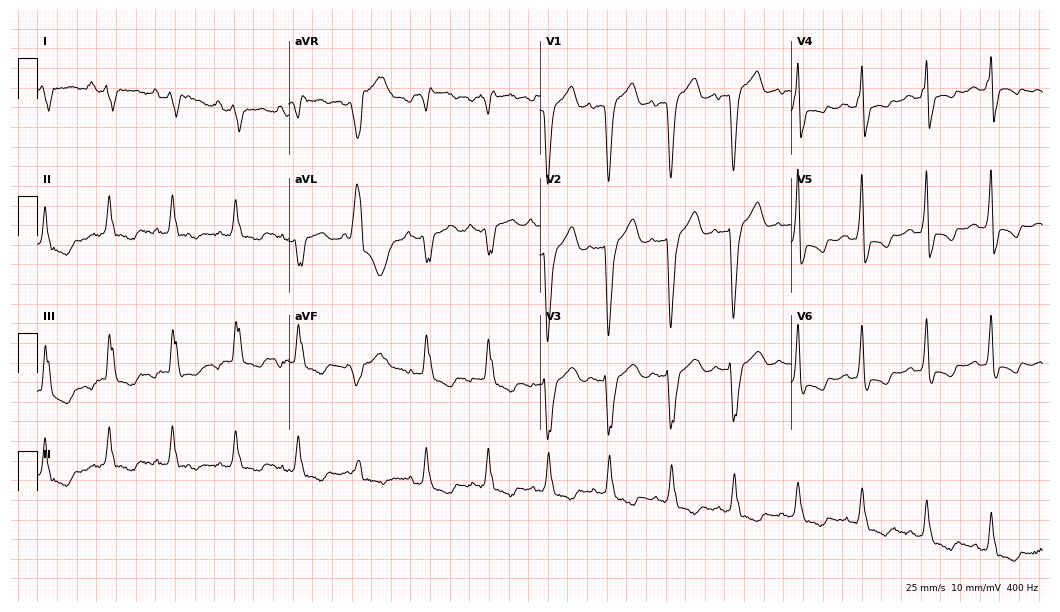
ECG (10.2-second recording at 400 Hz) — a female, 79 years old. Findings include left bundle branch block.